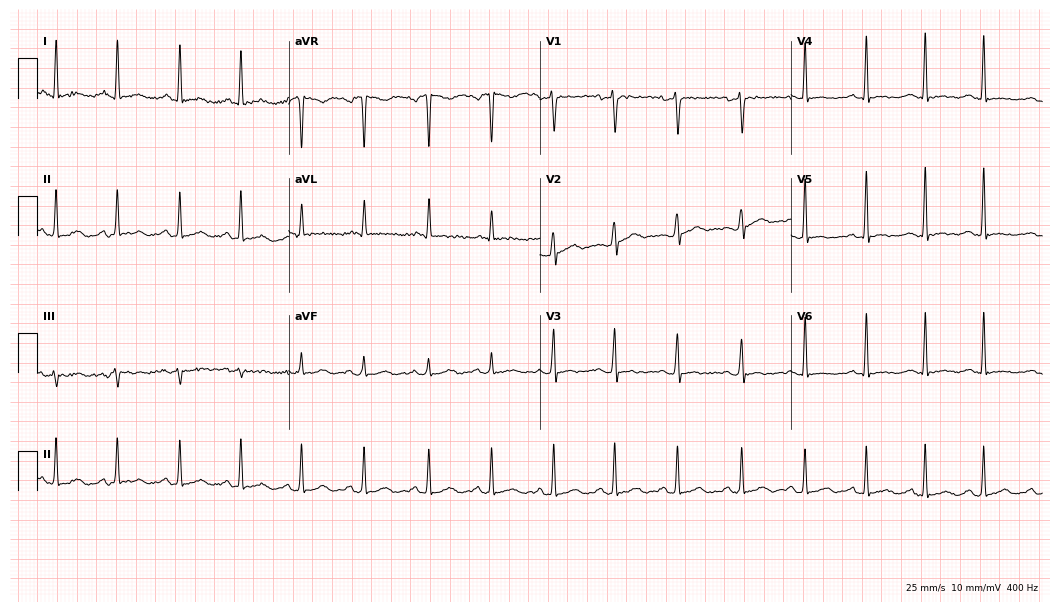
Standard 12-lead ECG recorded from a woman, 46 years old. None of these six findings is recorded: first-degree AV block, right bundle branch block (RBBB), left bundle branch block (LBBB), sinus bradycardia, atrial fibrillation (AF), sinus tachycardia. Other findings, if any, are not listed.